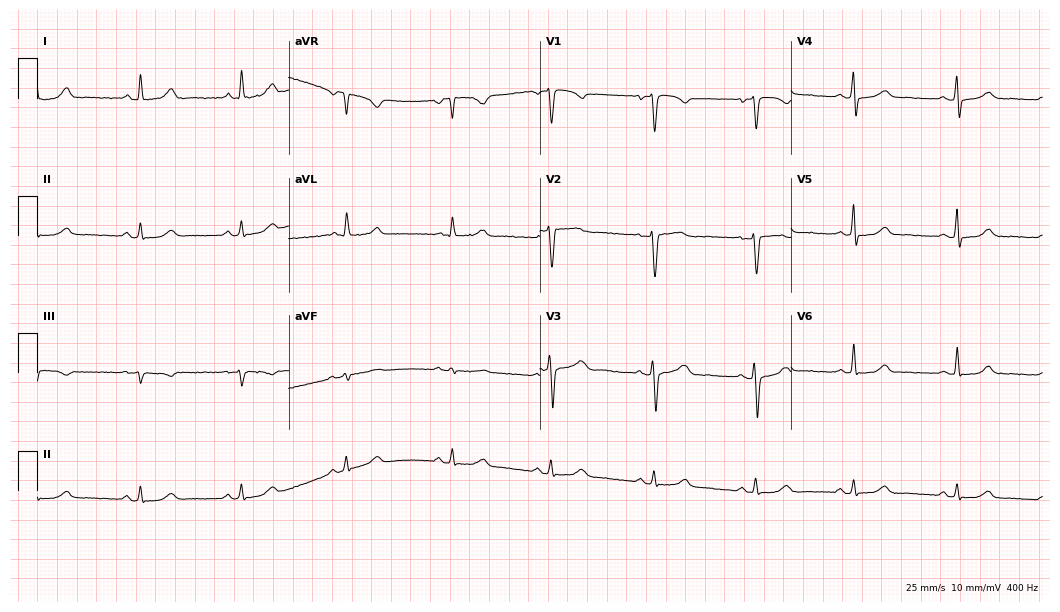
Resting 12-lead electrocardiogram. Patient: a 57-year-old woman. Read as a normal ECG.